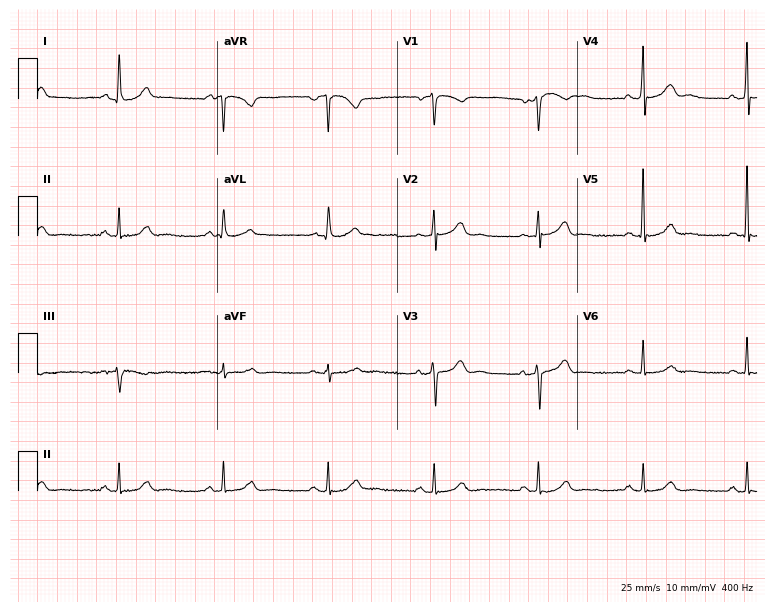
Electrocardiogram, a 60-year-old male. Overall reading on record: normal ECG.